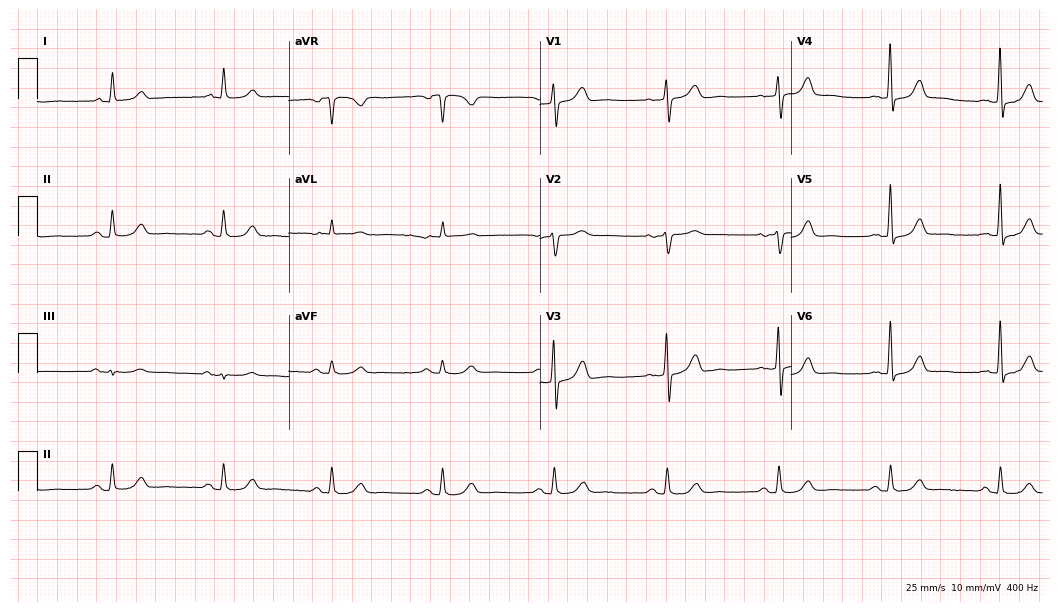
Standard 12-lead ECG recorded from a male patient, 74 years old. Read as a normal ECG.